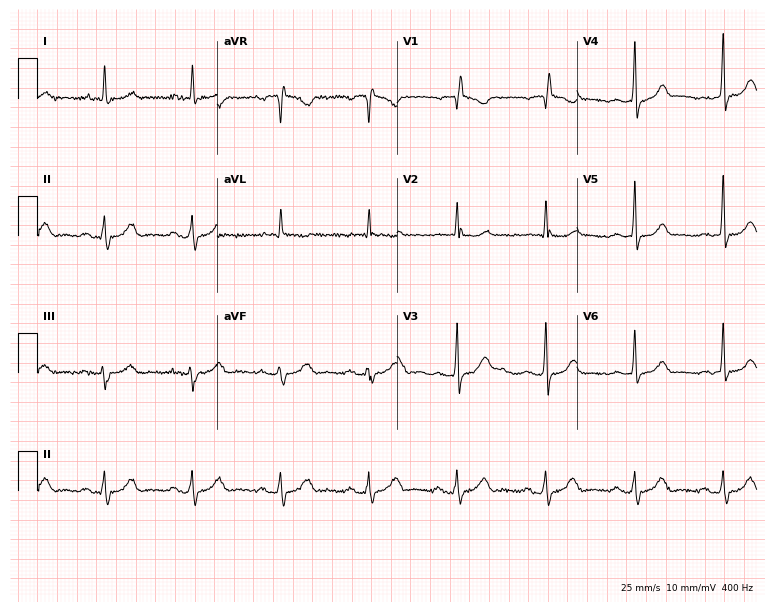
12-lead ECG from a 78-year-old man (7.3-second recording at 400 Hz). No first-degree AV block, right bundle branch block, left bundle branch block, sinus bradycardia, atrial fibrillation or sinus tachycardia recorded for this tracing.